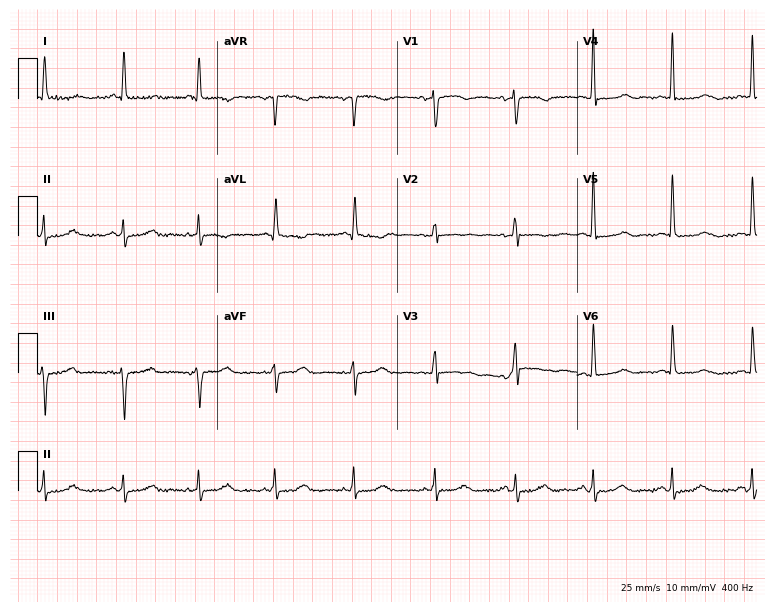
12-lead ECG from a 72-year-old female. Screened for six findings — first-degree AV block, right bundle branch block, left bundle branch block, sinus bradycardia, atrial fibrillation, sinus tachycardia — none is recorded.